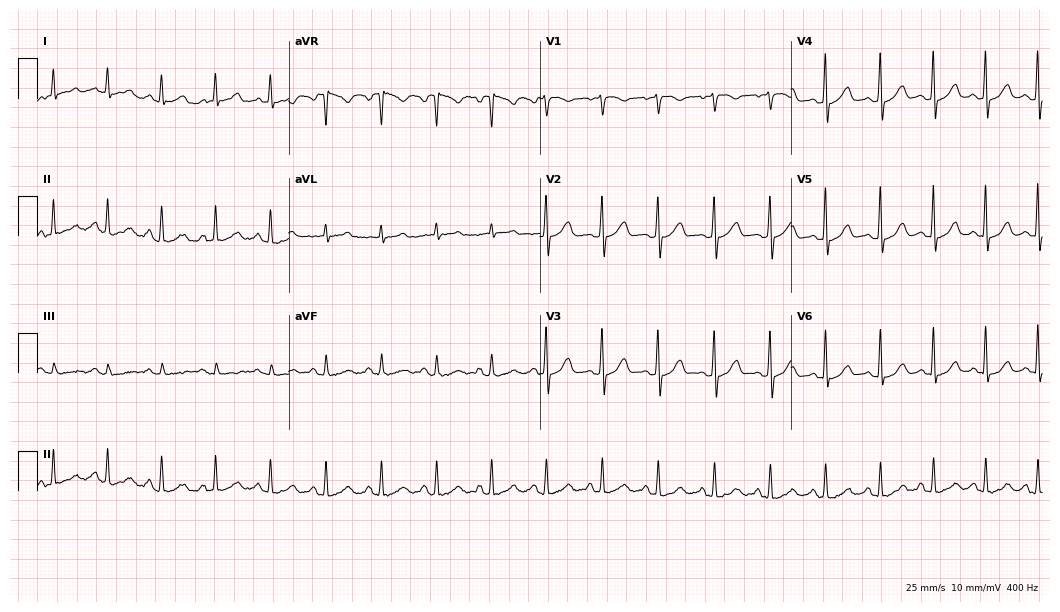
Electrocardiogram, a 46-year-old male. Of the six screened findings (first-degree AV block, right bundle branch block, left bundle branch block, sinus bradycardia, atrial fibrillation, sinus tachycardia), none is recorded. Only these six findings were labelled.